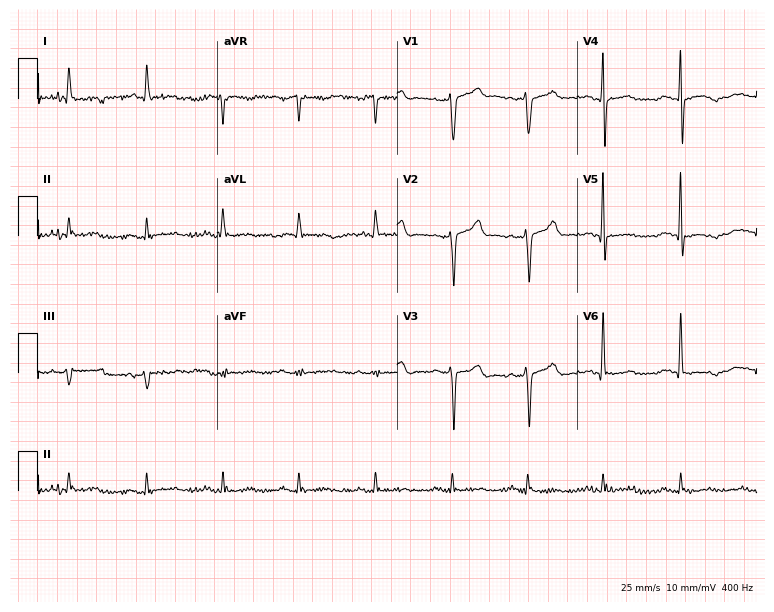
Standard 12-lead ECG recorded from an 82-year-old female patient. None of these six findings is recorded: first-degree AV block, right bundle branch block, left bundle branch block, sinus bradycardia, atrial fibrillation, sinus tachycardia.